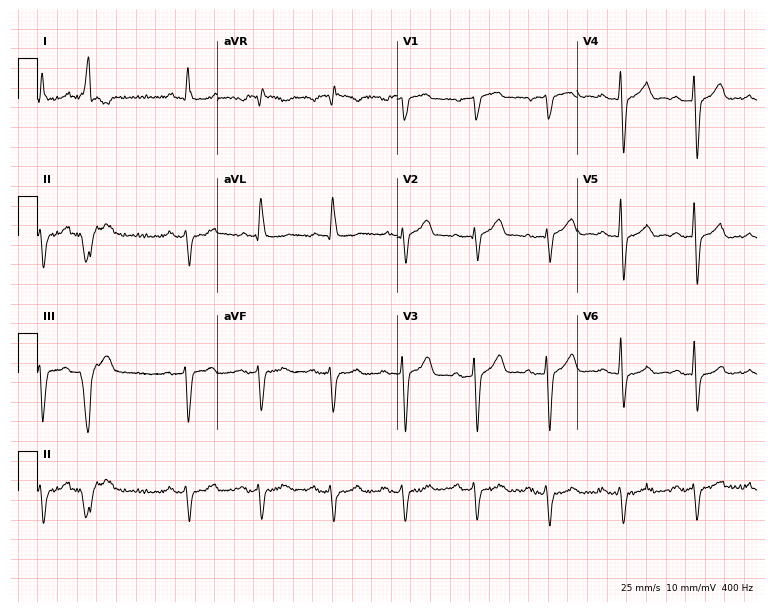
12-lead ECG from an 80-year-old male. Screened for six findings — first-degree AV block, right bundle branch block (RBBB), left bundle branch block (LBBB), sinus bradycardia, atrial fibrillation (AF), sinus tachycardia — none is recorded. Other findings, if any, are not listed.